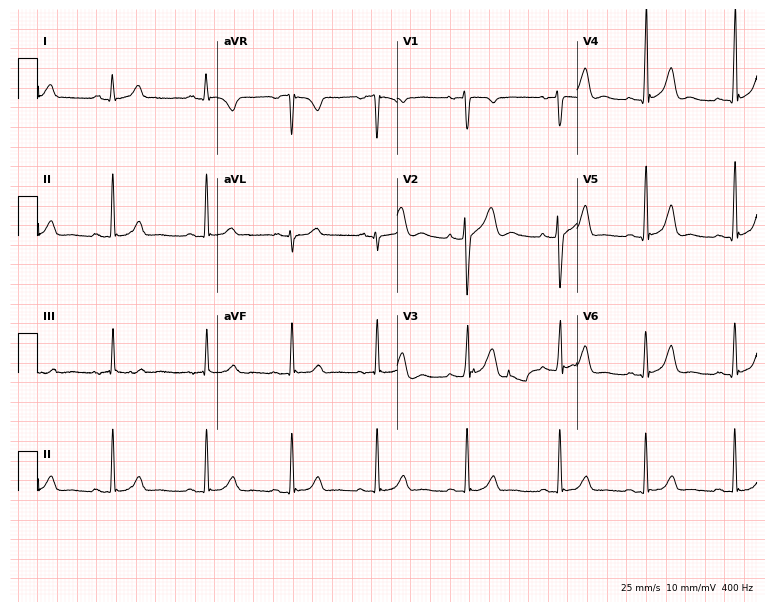
Resting 12-lead electrocardiogram. Patient: a female, 22 years old. None of these six findings is recorded: first-degree AV block, right bundle branch block, left bundle branch block, sinus bradycardia, atrial fibrillation, sinus tachycardia. Only these six findings were labelled.